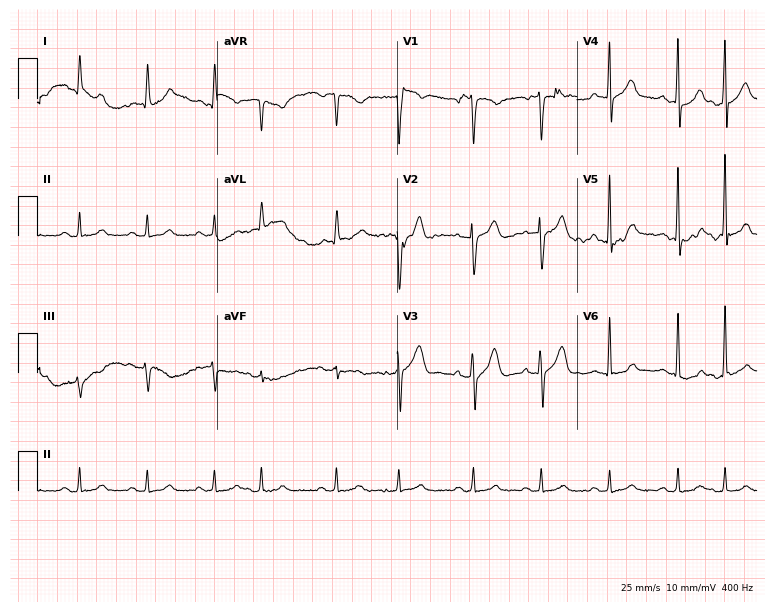
Standard 12-lead ECG recorded from a male patient, 81 years old. None of these six findings is recorded: first-degree AV block, right bundle branch block, left bundle branch block, sinus bradycardia, atrial fibrillation, sinus tachycardia.